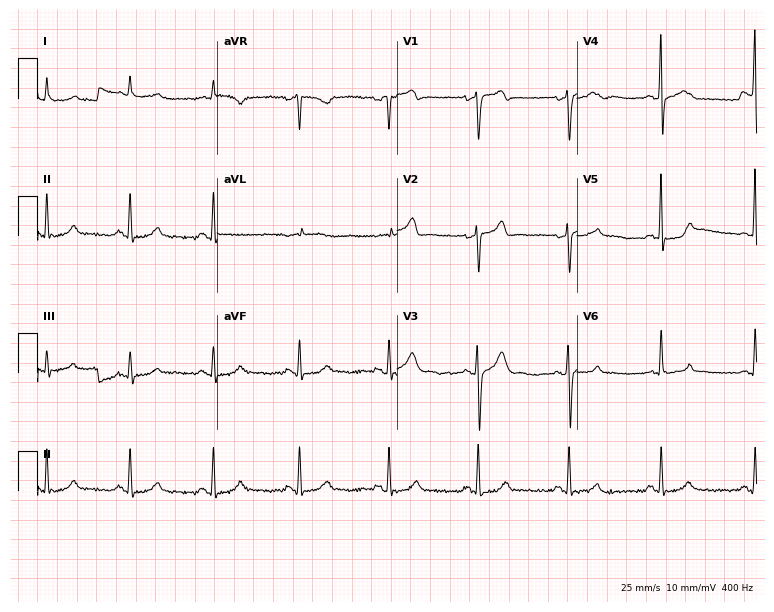
Resting 12-lead electrocardiogram (7.3-second recording at 400 Hz). Patient: a male, 41 years old. Read as a normal ECG.